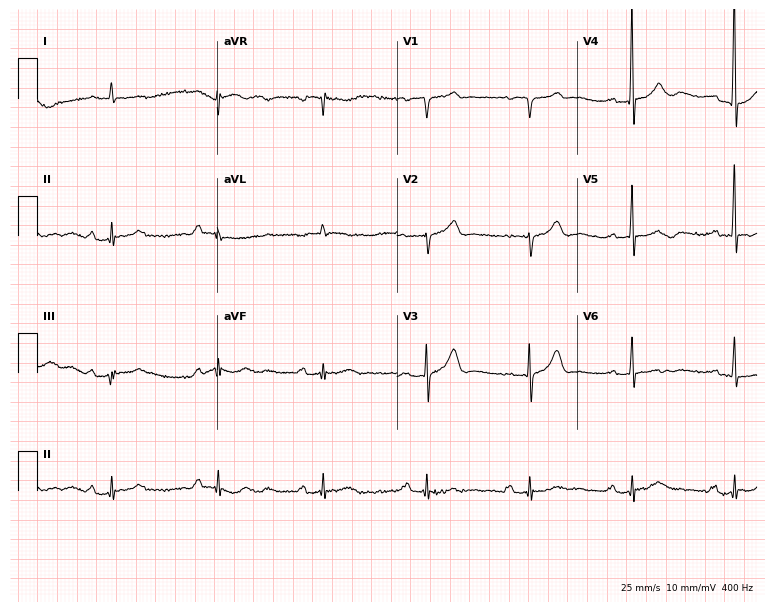
Resting 12-lead electrocardiogram (7.3-second recording at 400 Hz). Patient: an 85-year-old man. The tracing shows first-degree AV block.